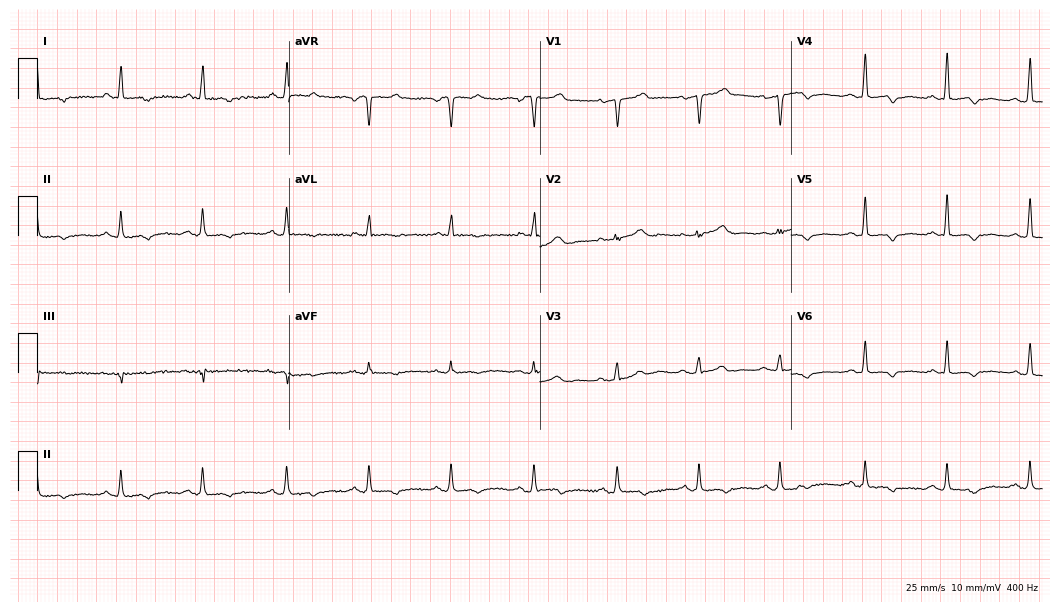
Standard 12-lead ECG recorded from a 55-year-old female patient. None of these six findings is recorded: first-degree AV block, right bundle branch block, left bundle branch block, sinus bradycardia, atrial fibrillation, sinus tachycardia. Other findings, if any, are not listed.